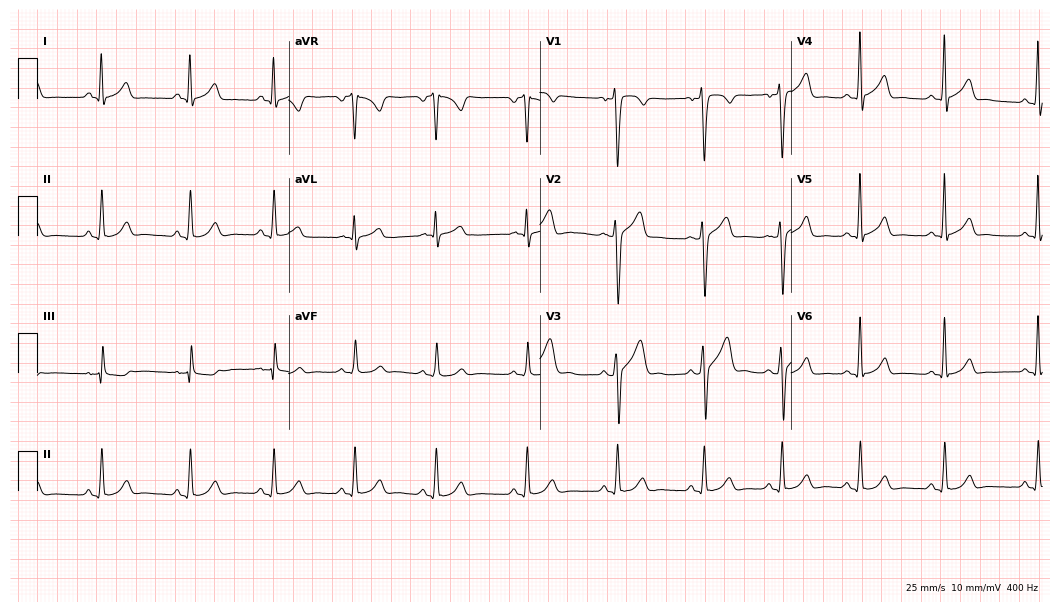
Electrocardiogram (10.2-second recording at 400 Hz), a 23-year-old man. Of the six screened findings (first-degree AV block, right bundle branch block (RBBB), left bundle branch block (LBBB), sinus bradycardia, atrial fibrillation (AF), sinus tachycardia), none is recorded. Other findings, if any, are not listed.